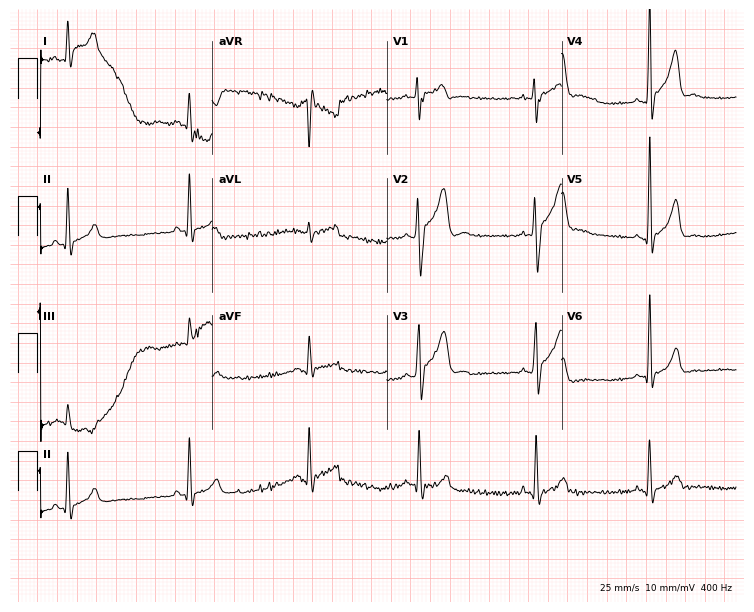
12-lead ECG (7.1-second recording at 400 Hz) from a man, 24 years old. Screened for six findings — first-degree AV block, right bundle branch block, left bundle branch block, sinus bradycardia, atrial fibrillation, sinus tachycardia — none is recorded. Only these six findings were labelled.